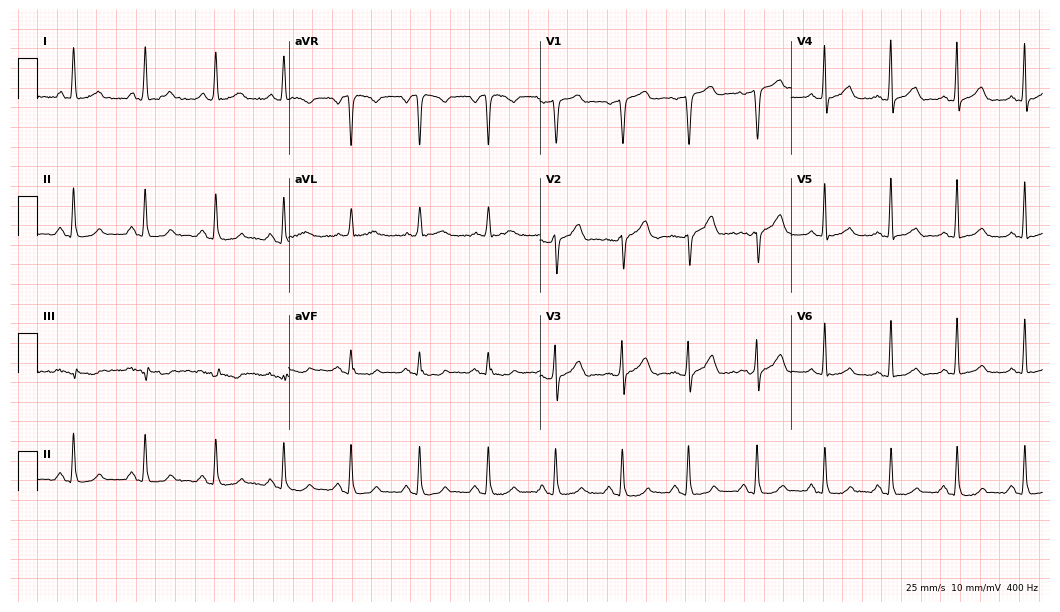
ECG — a woman, 62 years old. Labelled as a normal ECG.